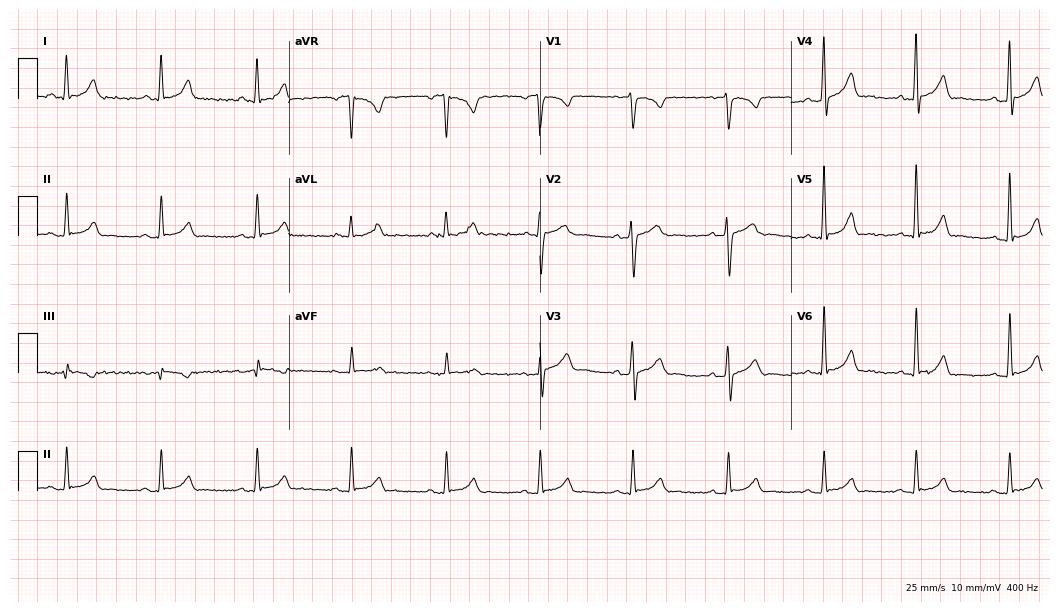
12-lead ECG from a male, 47 years old. Labelled as a normal ECG.